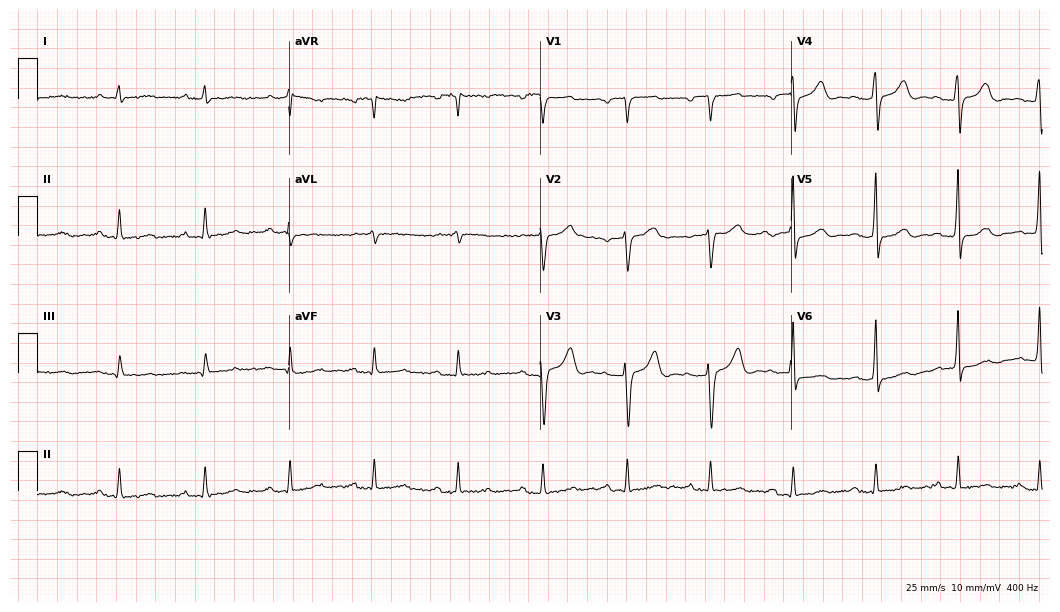
12-lead ECG from a 79-year-old man (10.2-second recording at 400 Hz). No first-degree AV block, right bundle branch block, left bundle branch block, sinus bradycardia, atrial fibrillation or sinus tachycardia recorded for this tracing.